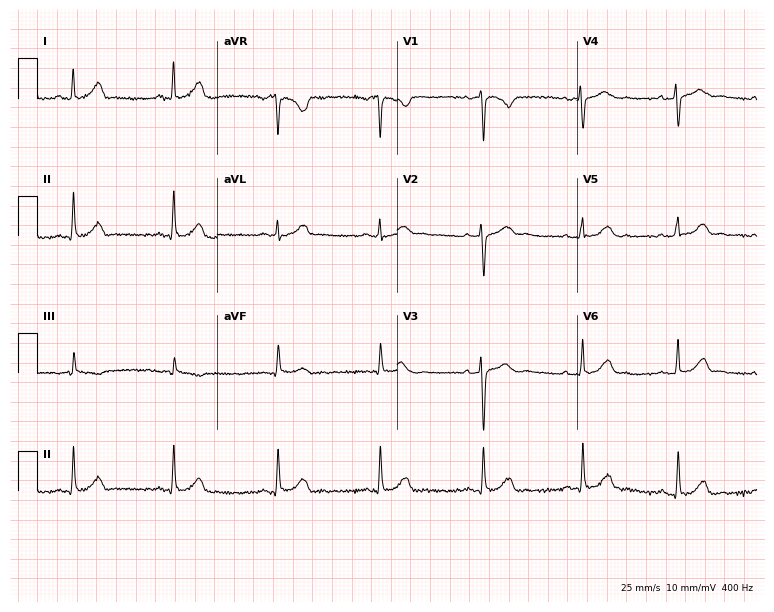
Standard 12-lead ECG recorded from a 25-year-old woman. Read as a normal ECG.